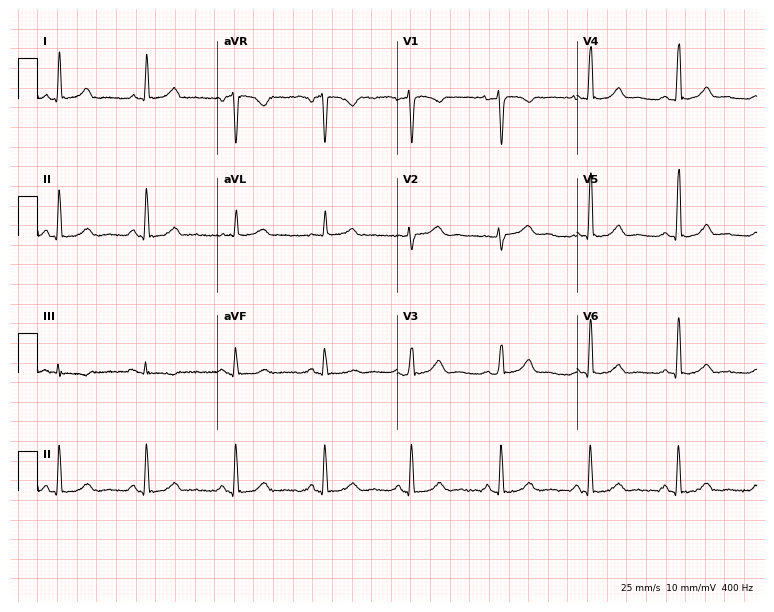
12-lead ECG from a woman, 46 years old. Recorded interpretation: within normal limits.